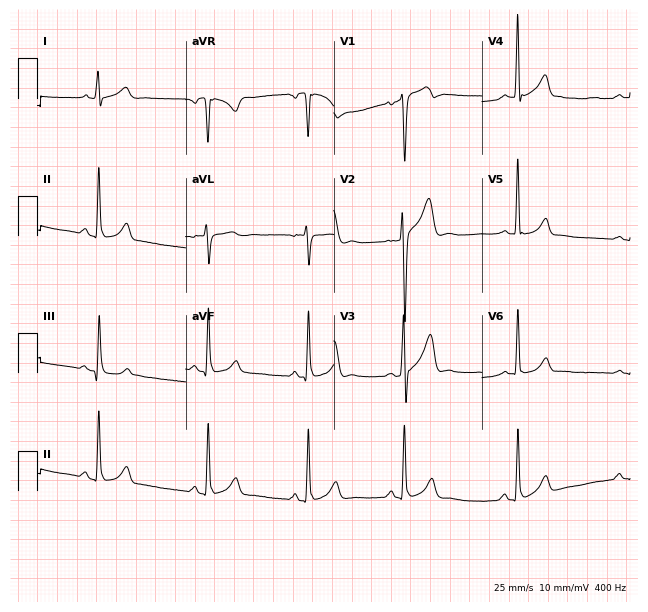
12-lead ECG from a man, 33 years old. No first-degree AV block, right bundle branch block, left bundle branch block, sinus bradycardia, atrial fibrillation or sinus tachycardia recorded for this tracing. Only these six findings were labelled.